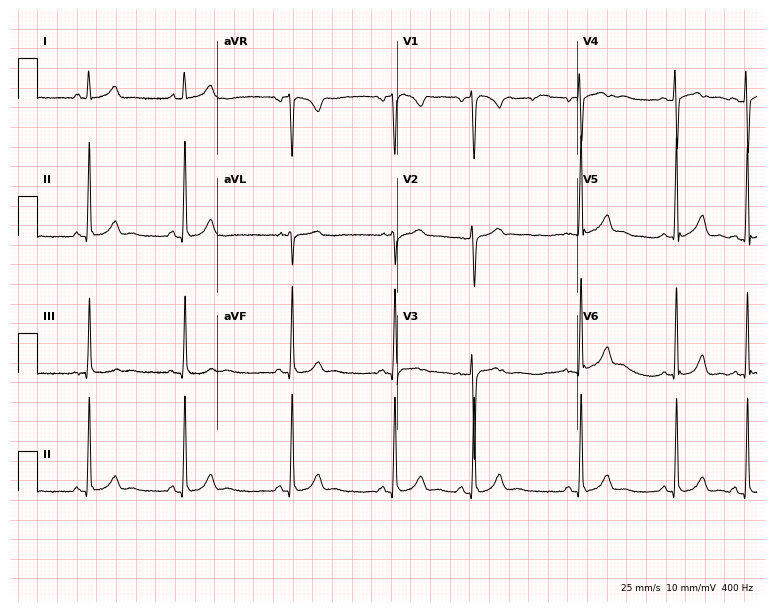
12-lead ECG from an 18-year-old female. Recorded interpretation: within normal limits.